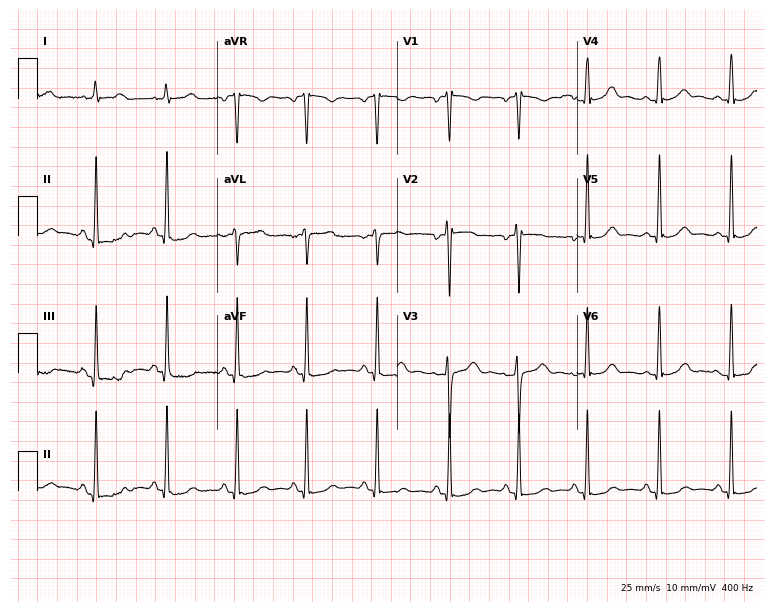
ECG (7.3-second recording at 400 Hz) — a 22-year-old female patient. Screened for six findings — first-degree AV block, right bundle branch block, left bundle branch block, sinus bradycardia, atrial fibrillation, sinus tachycardia — none is recorded. Findings outside these six are not listed.